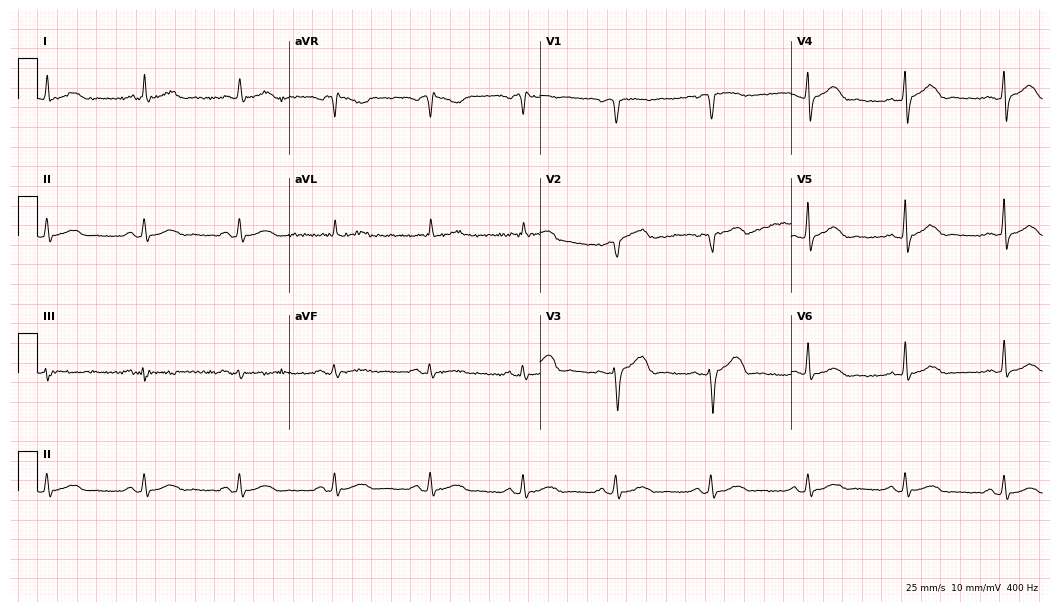
Standard 12-lead ECG recorded from a 63-year-old male. Read as a normal ECG.